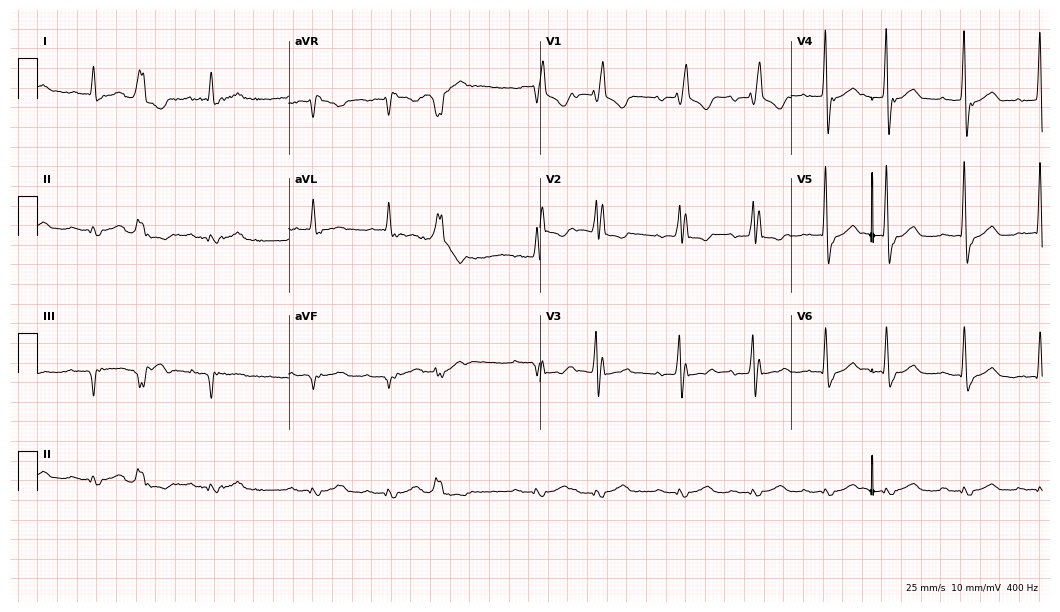
ECG (10.2-second recording at 400 Hz) — a male, 83 years old. Findings include right bundle branch block (RBBB).